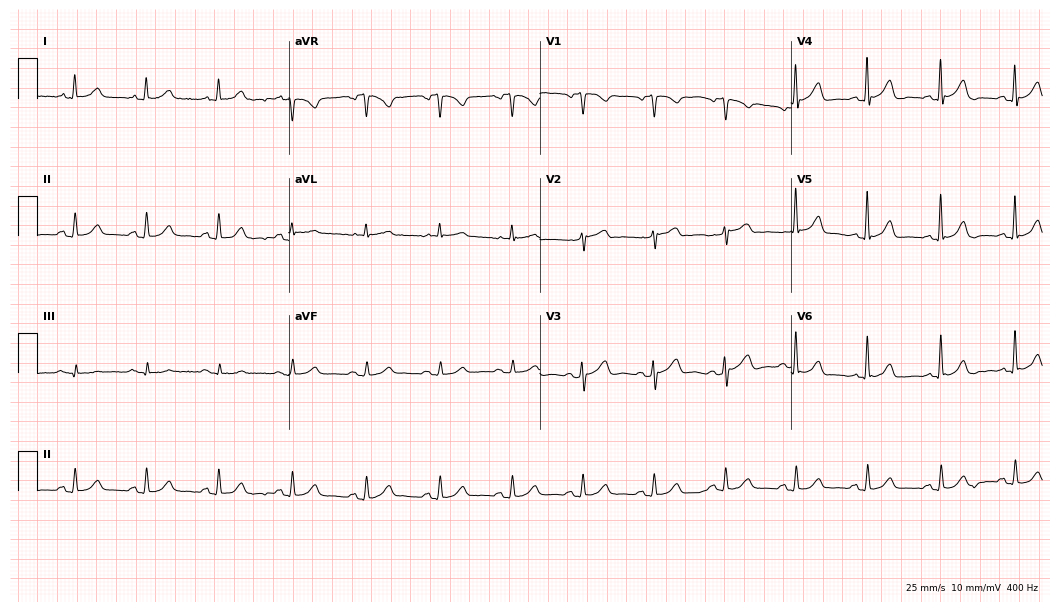
ECG (10.2-second recording at 400 Hz) — a 65-year-old man. Screened for six findings — first-degree AV block, right bundle branch block (RBBB), left bundle branch block (LBBB), sinus bradycardia, atrial fibrillation (AF), sinus tachycardia — none is recorded. Findings outside these six are not listed.